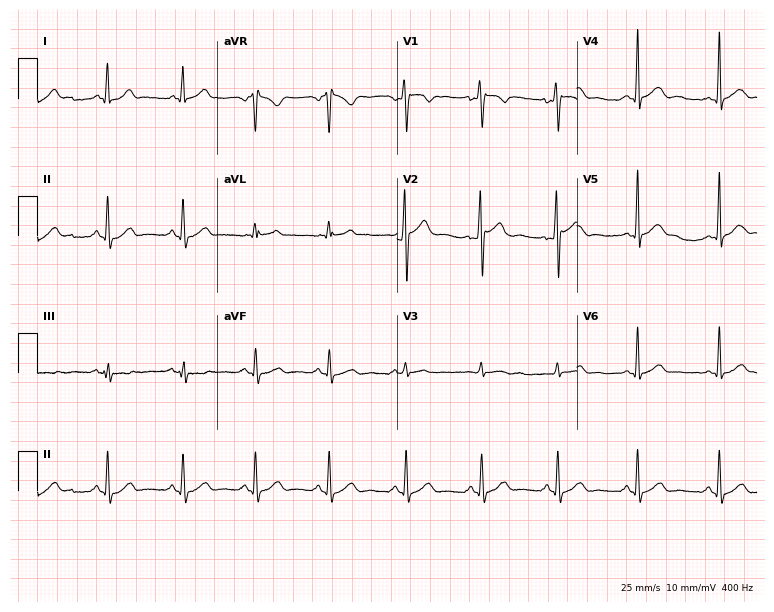
Electrocardiogram (7.3-second recording at 400 Hz), a male patient, 19 years old. Of the six screened findings (first-degree AV block, right bundle branch block (RBBB), left bundle branch block (LBBB), sinus bradycardia, atrial fibrillation (AF), sinus tachycardia), none is recorded.